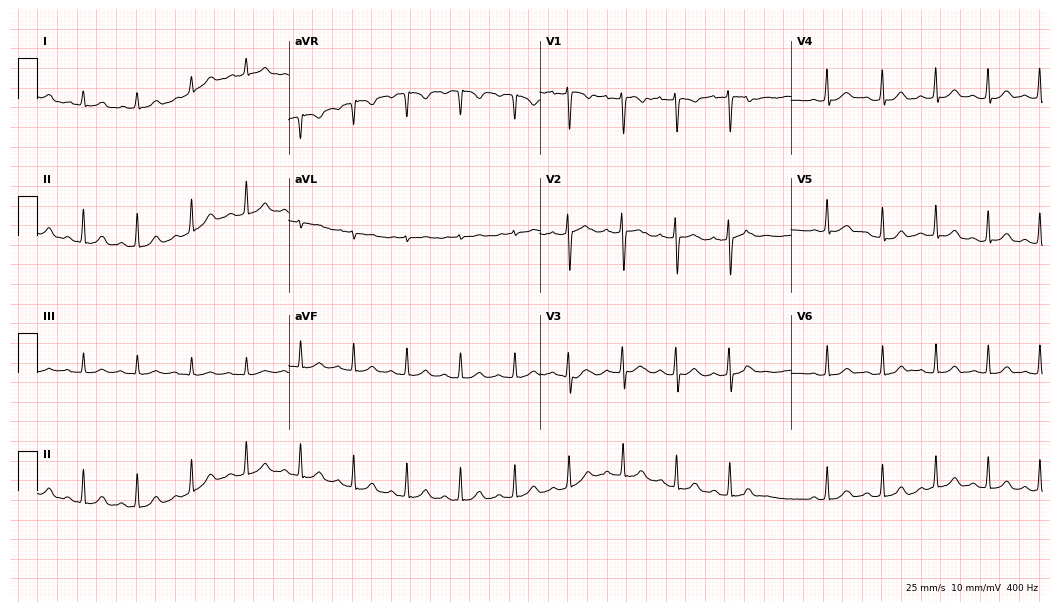
Electrocardiogram, a female, 17 years old. Interpretation includes sinus tachycardia (a sinus rate of 100 beats per minute or more).